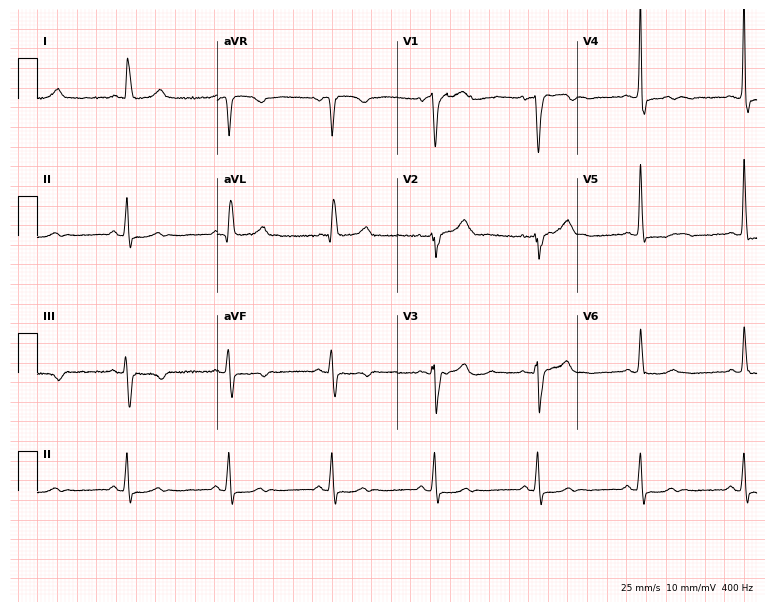
12-lead ECG from a female patient, 77 years old (7.3-second recording at 400 Hz). Recorded interpretation: within normal limits.